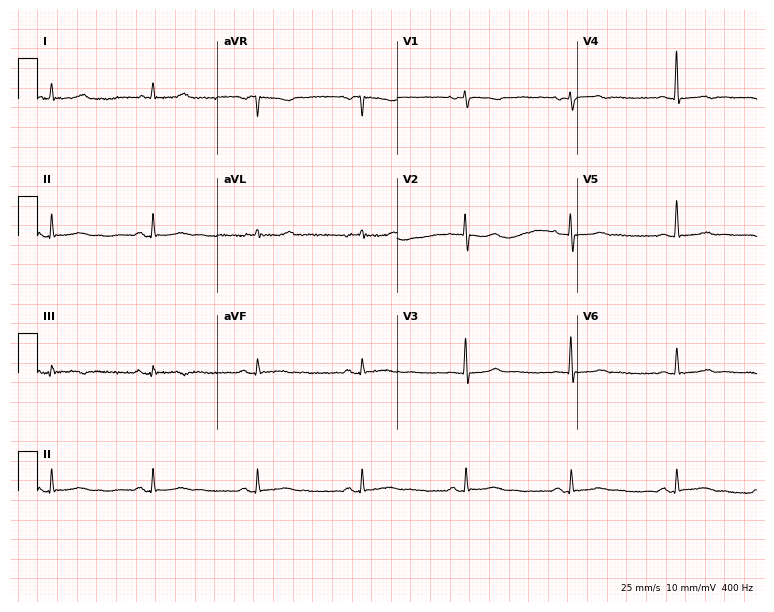
12-lead ECG (7.3-second recording at 400 Hz) from a female patient, 71 years old. Labelled as a normal ECG.